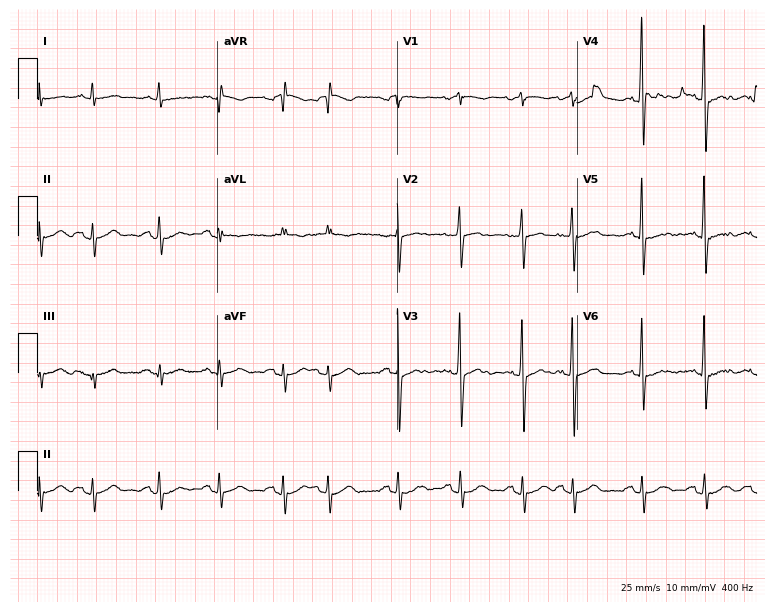
Resting 12-lead electrocardiogram. Patient: an 80-year-old male. None of these six findings is recorded: first-degree AV block, right bundle branch block, left bundle branch block, sinus bradycardia, atrial fibrillation, sinus tachycardia.